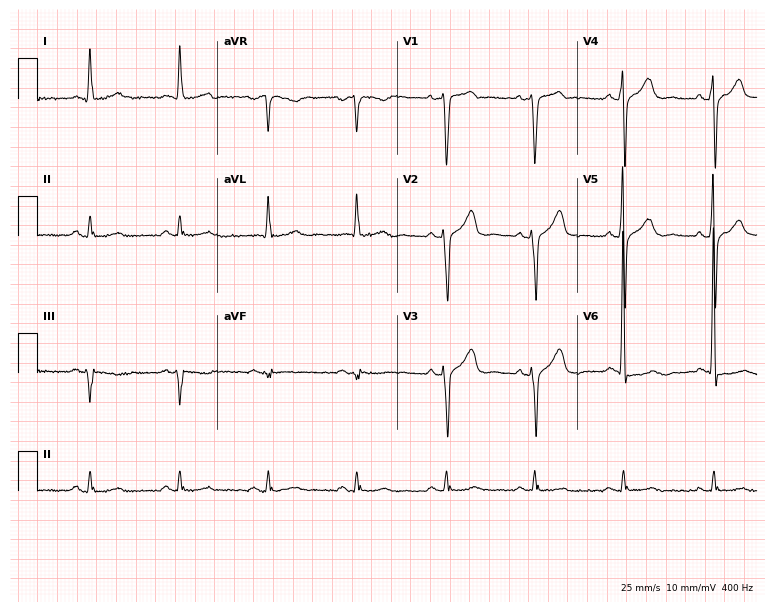
Standard 12-lead ECG recorded from a 67-year-old man. None of these six findings is recorded: first-degree AV block, right bundle branch block, left bundle branch block, sinus bradycardia, atrial fibrillation, sinus tachycardia.